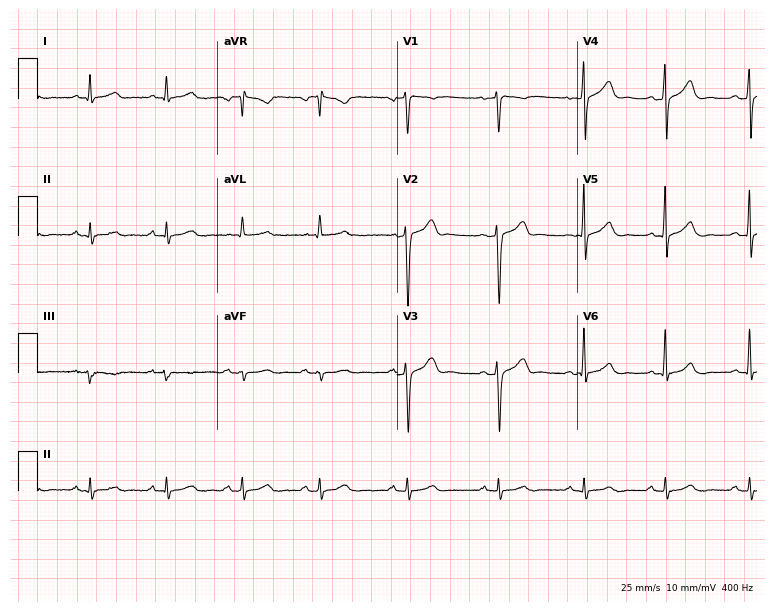
ECG (7.3-second recording at 400 Hz) — a 49-year-old male patient. Screened for six findings — first-degree AV block, right bundle branch block, left bundle branch block, sinus bradycardia, atrial fibrillation, sinus tachycardia — none is recorded.